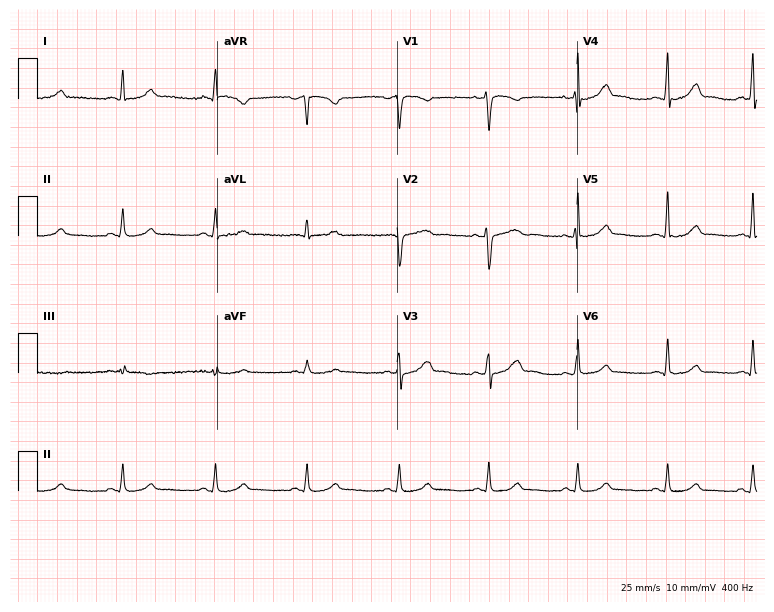
Electrocardiogram, a woman, 37 years old. Of the six screened findings (first-degree AV block, right bundle branch block, left bundle branch block, sinus bradycardia, atrial fibrillation, sinus tachycardia), none is recorded. Findings outside these six are not listed.